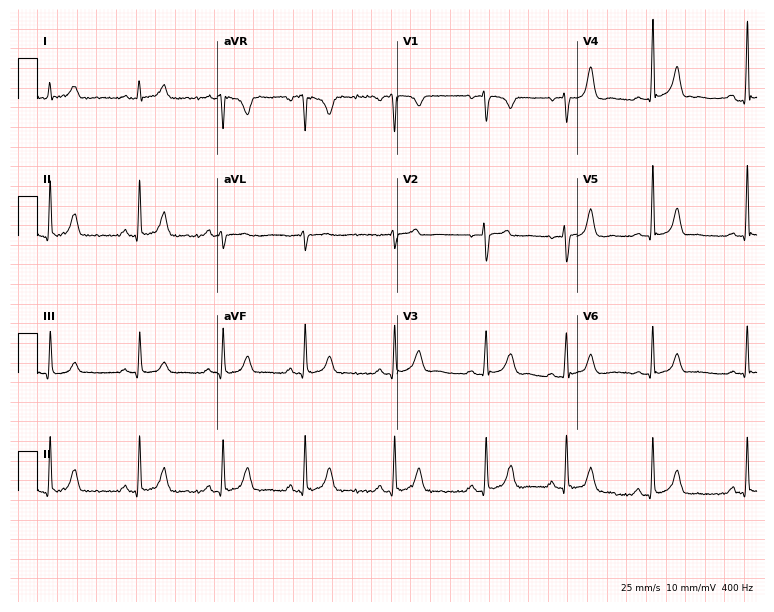
Resting 12-lead electrocardiogram (7.3-second recording at 400 Hz). Patient: a female, 36 years old. Read as a normal ECG.